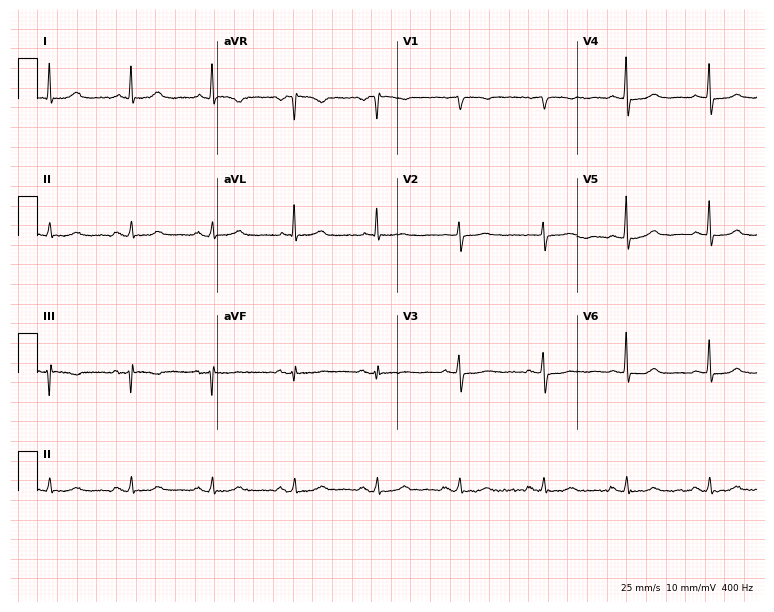
Standard 12-lead ECG recorded from an 80-year-old female. None of these six findings is recorded: first-degree AV block, right bundle branch block, left bundle branch block, sinus bradycardia, atrial fibrillation, sinus tachycardia.